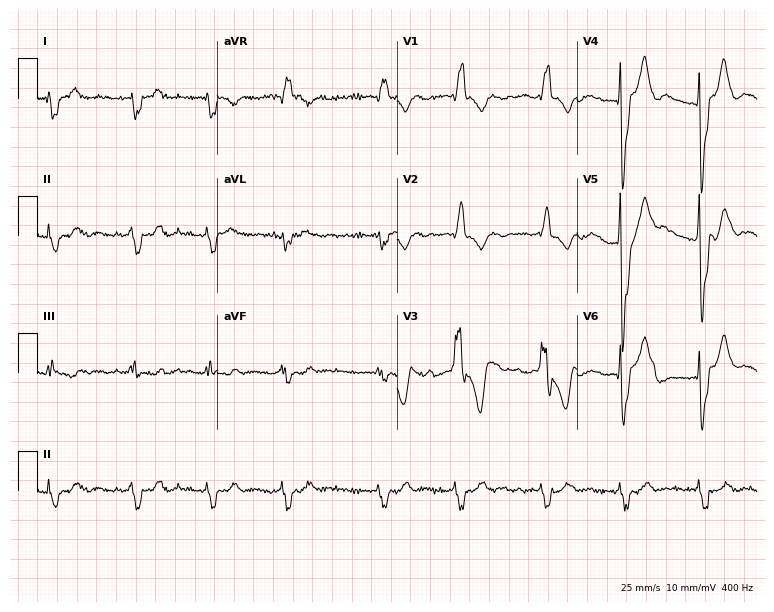
12-lead ECG from a 67-year-old male. No first-degree AV block, right bundle branch block, left bundle branch block, sinus bradycardia, atrial fibrillation or sinus tachycardia recorded for this tracing. Findings outside these six are not listed.